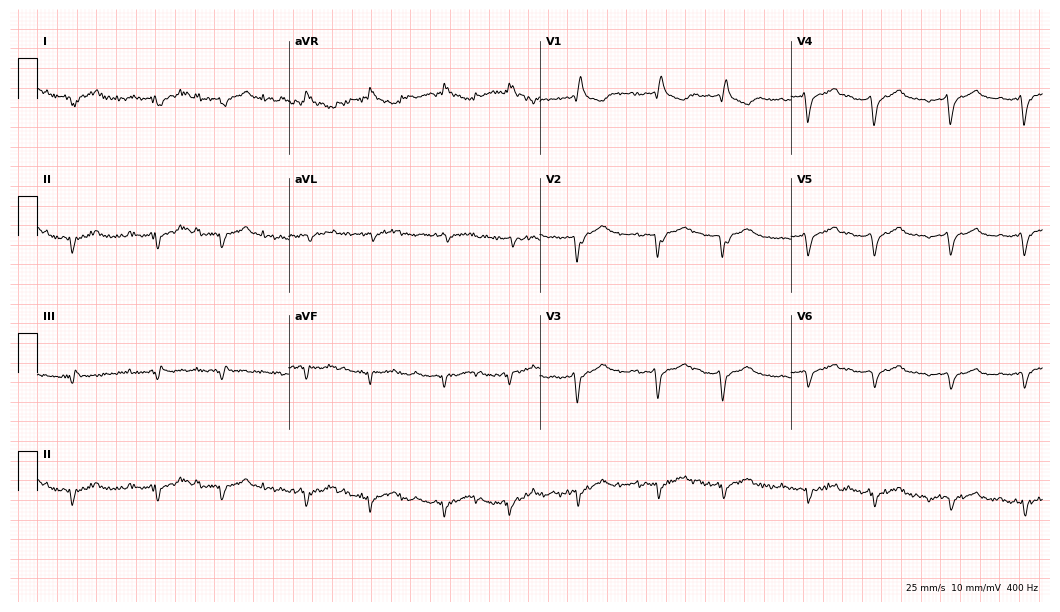
ECG — a male, 75 years old. Screened for six findings — first-degree AV block, right bundle branch block (RBBB), left bundle branch block (LBBB), sinus bradycardia, atrial fibrillation (AF), sinus tachycardia — none is recorded. Other findings, if any, are not listed.